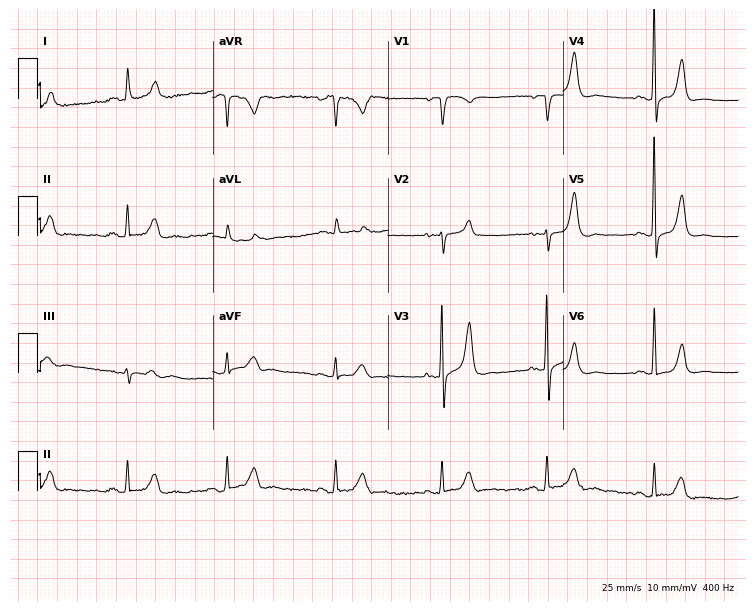
ECG (7.1-second recording at 400 Hz) — a 68-year-old male patient. Labelled as a normal ECG.